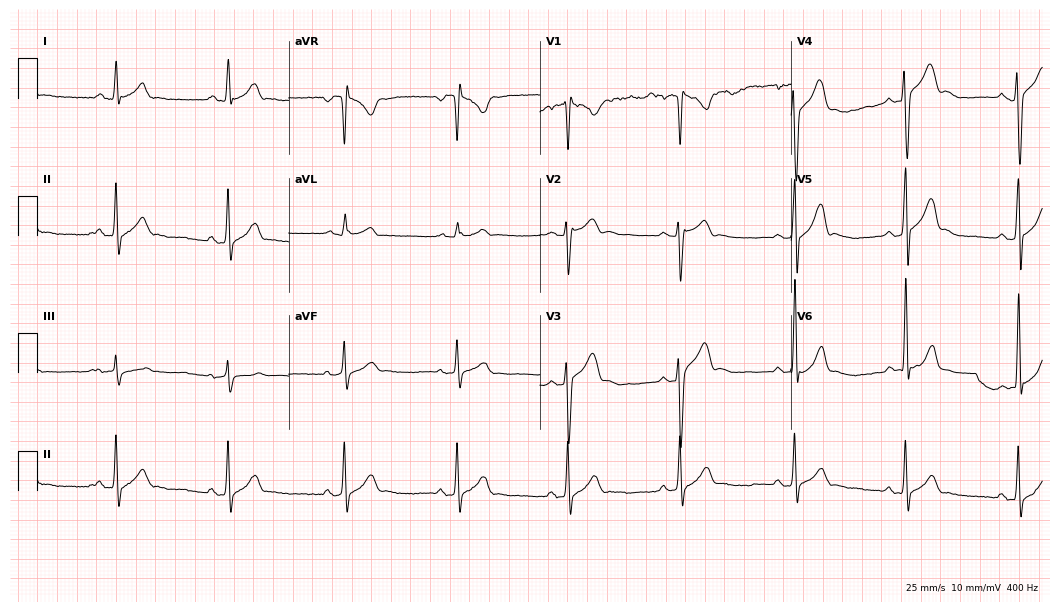
ECG (10.2-second recording at 400 Hz) — a male patient, 31 years old. Screened for six findings — first-degree AV block, right bundle branch block (RBBB), left bundle branch block (LBBB), sinus bradycardia, atrial fibrillation (AF), sinus tachycardia — none is recorded. Only these six findings were labelled.